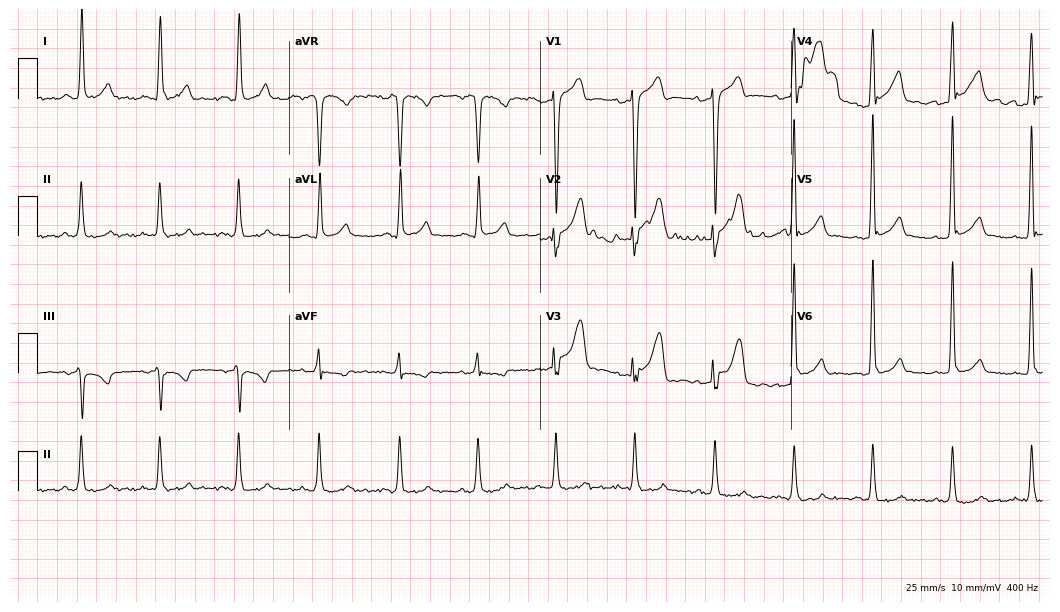
Electrocardiogram, a male patient, 42 years old. Overall reading on record: normal ECG.